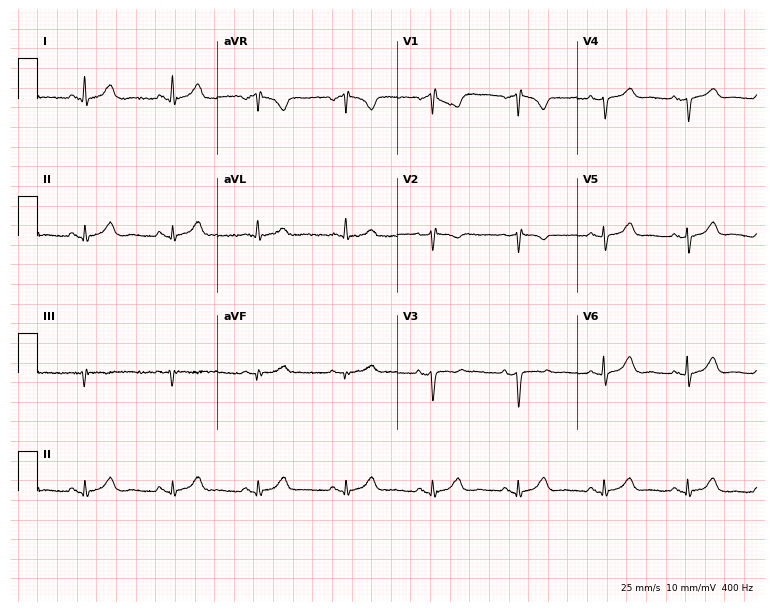
12-lead ECG from a female, 63 years old. Screened for six findings — first-degree AV block, right bundle branch block, left bundle branch block, sinus bradycardia, atrial fibrillation, sinus tachycardia — none is recorded.